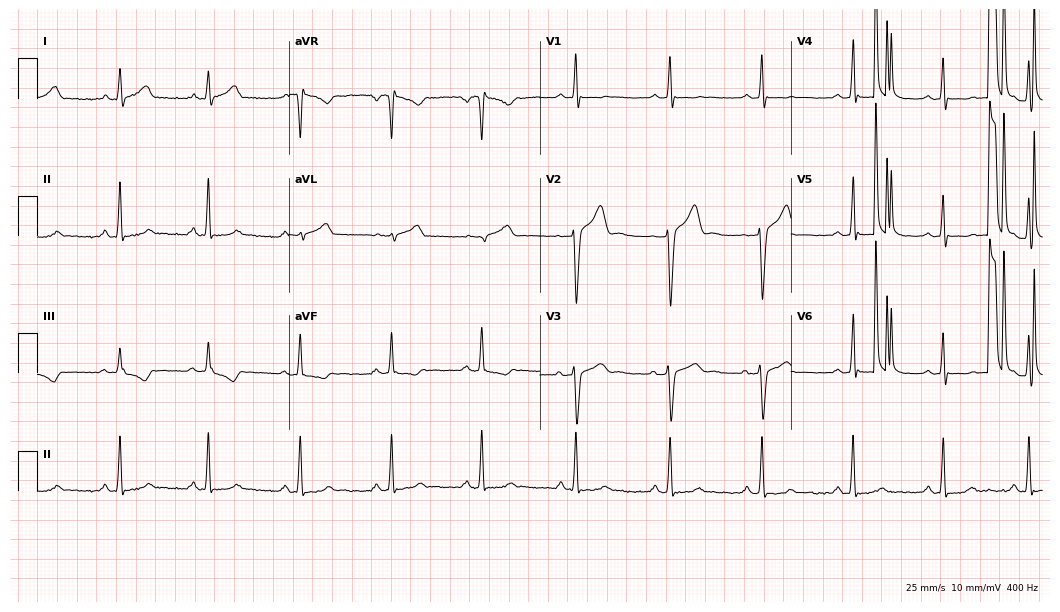
12-lead ECG from a male, 26 years old. Recorded interpretation: within normal limits.